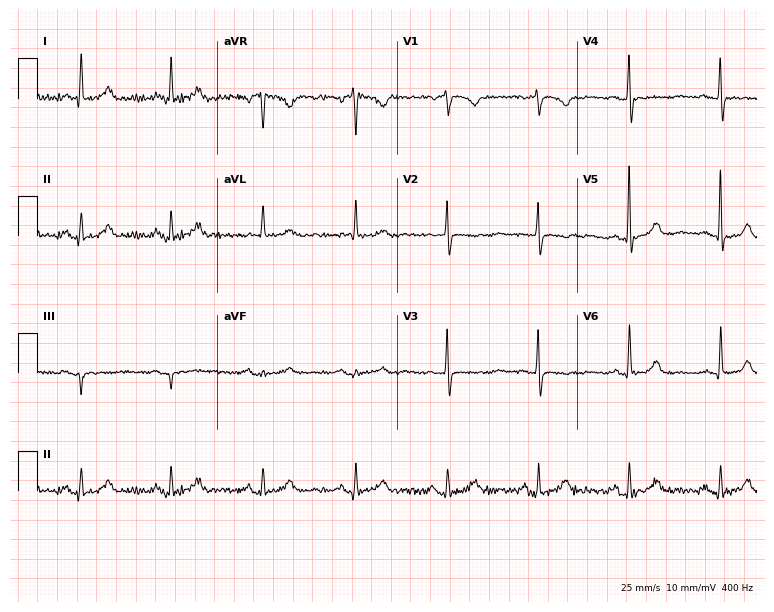
Electrocardiogram, a 78-year-old woman. Of the six screened findings (first-degree AV block, right bundle branch block, left bundle branch block, sinus bradycardia, atrial fibrillation, sinus tachycardia), none is recorded. Other findings, if any, are not listed.